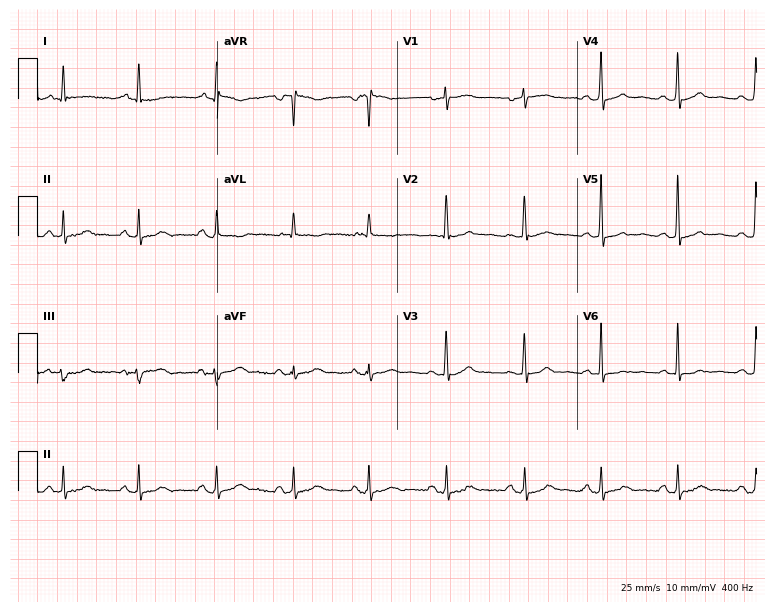
ECG (7.3-second recording at 400 Hz) — a 66-year-old woman. Screened for six findings — first-degree AV block, right bundle branch block, left bundle branch block, sinus bradycardia, atrial fibrillation, sinus tachycardia — none is recorded. Only these six findings were labelled.